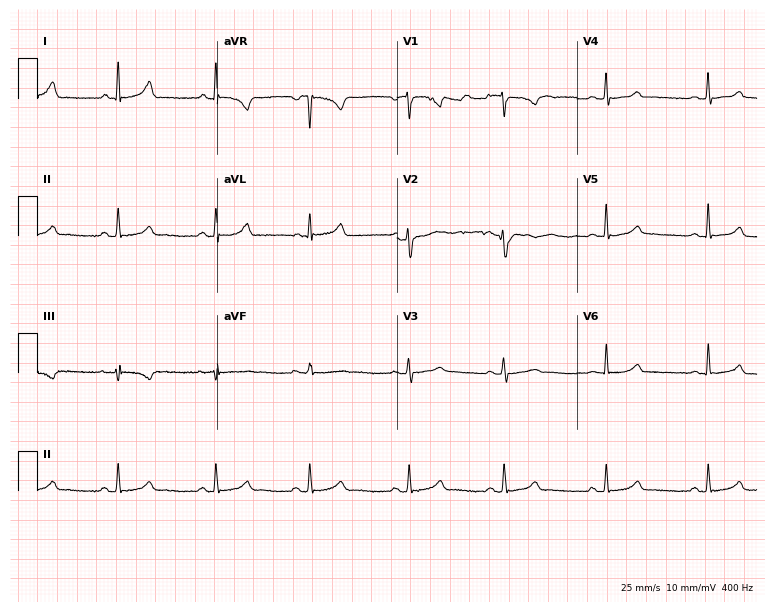
12-lead ECG from a female, 34 years old. Labelled as a normal ECG.